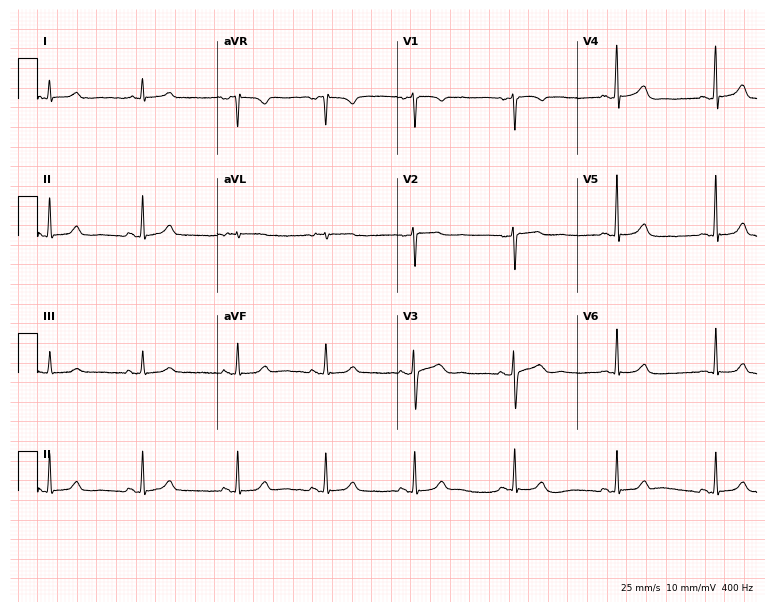
Resting 12-lead electrocardiogram (7.3-second recording at 400 Hz). Patient: a woman, 39 years old. Read as a normal ECG.